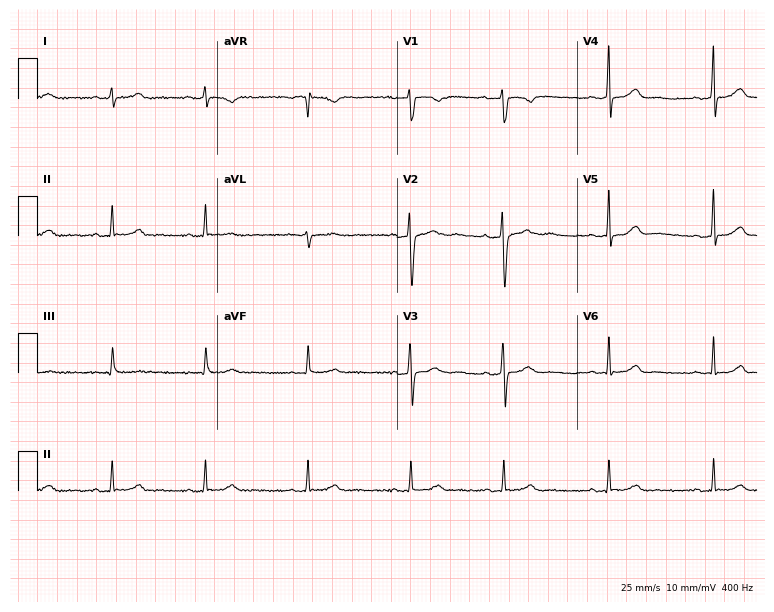
Standard 12-lead ECG recorded from a 30-year-old female. None of these six findings is recorded: first-degree AV block, right bundle branch block, left bundle branch block, sinus bradycardia, atrial fibrillation, sinus tachycardia. Findings outside these six are not listed.